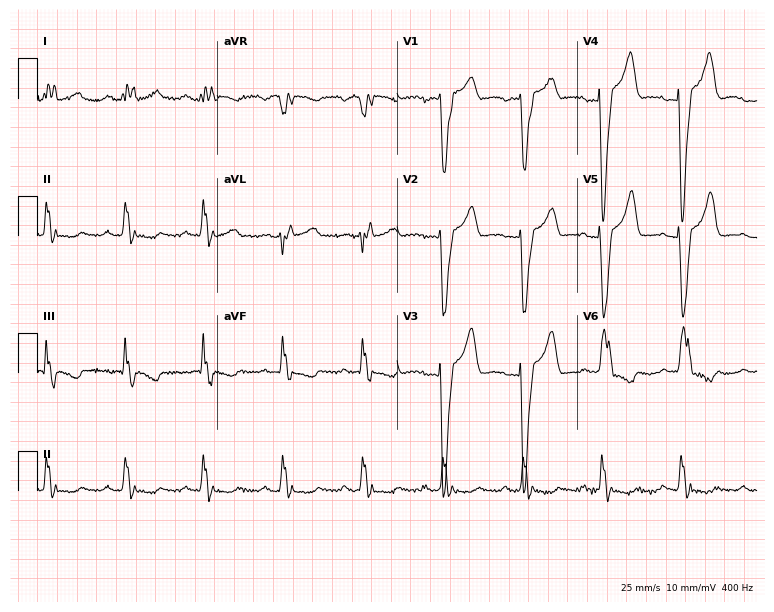
Electrocardiogram, a 73-year-old female patient. Interpretation includes left bundle branch block.